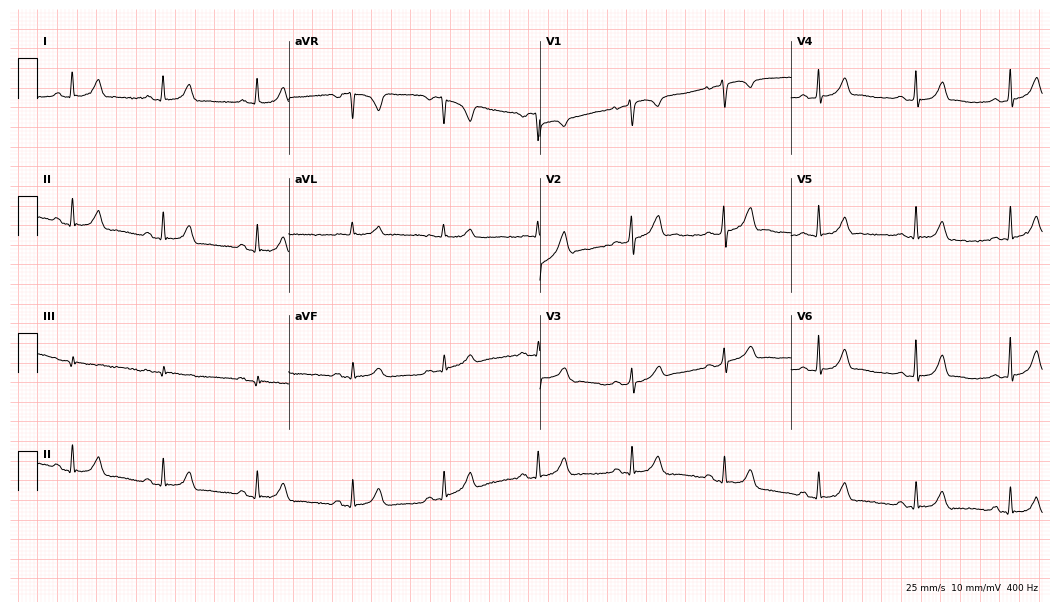
Electrocardiogram, a woman, 31 years old. Overall reading on record: normal ECG.